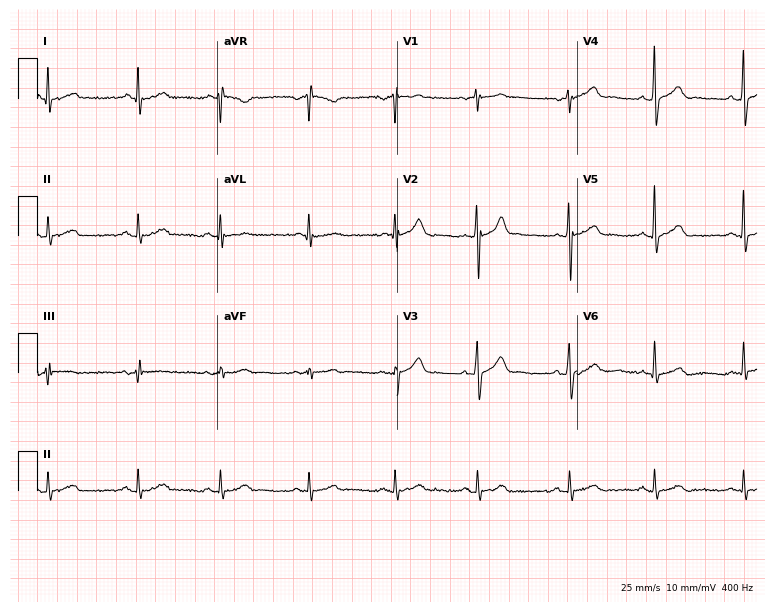
Resting 12-lead electrocardiogram (7.3-second recording at 400 Hz). Patient: a 40-year-old male. Read as a normal ECG.